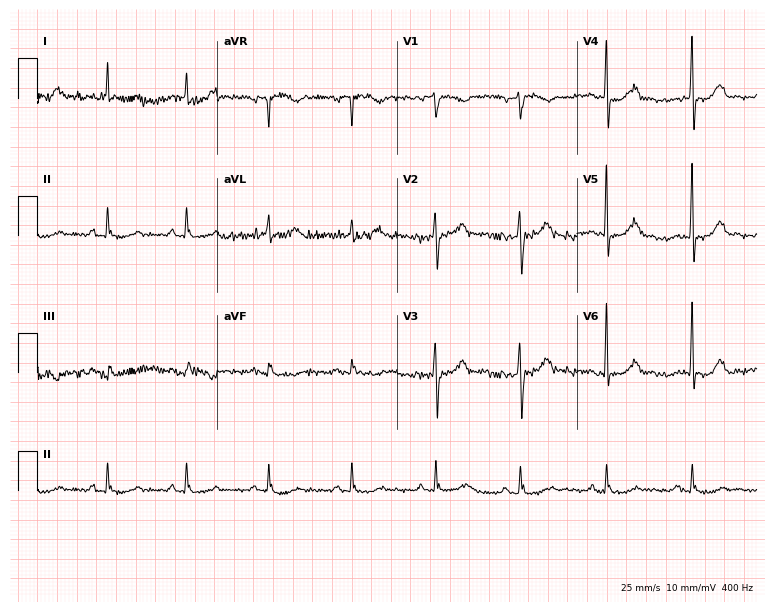
Standard 12-lead ECG recorded from a 74-year-old male patient. None of these six findings is recorded: first-degree AV block, right bundle branch block, left bundle branch block, sinus bradycardia, atrial fibrillation, sinus tachycardia.